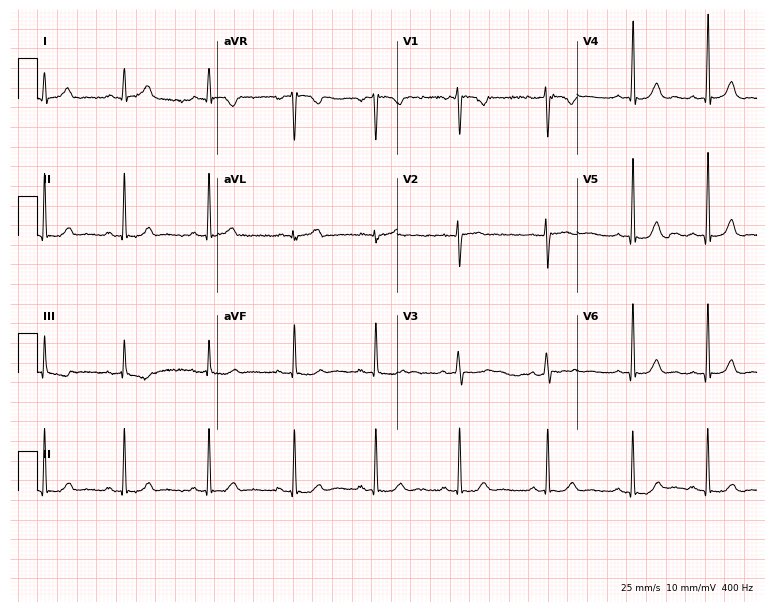
12-lead ECG from a 22-year-old woman (7.3-second recording at 400 Hz). Recorded interpretation: within normal limits.